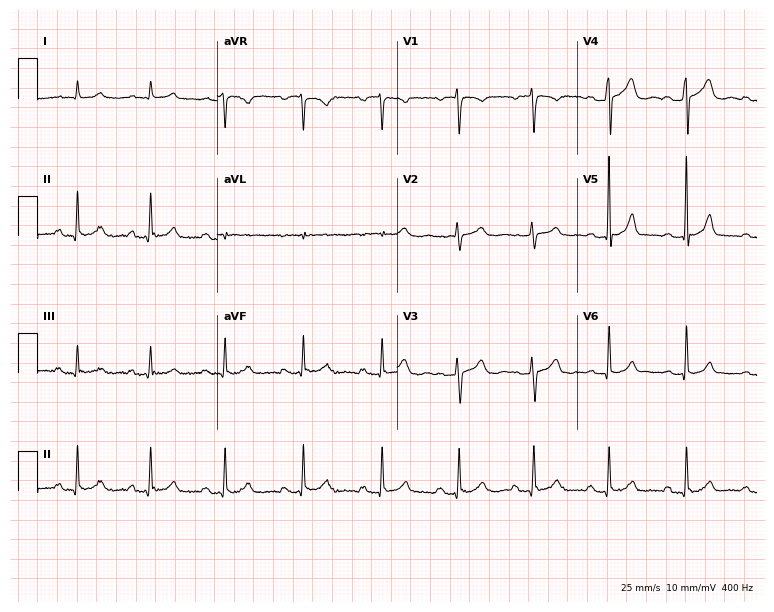
12-lead ECG from a 22-year-old female patient. Recorded interpretation: within normal limits.